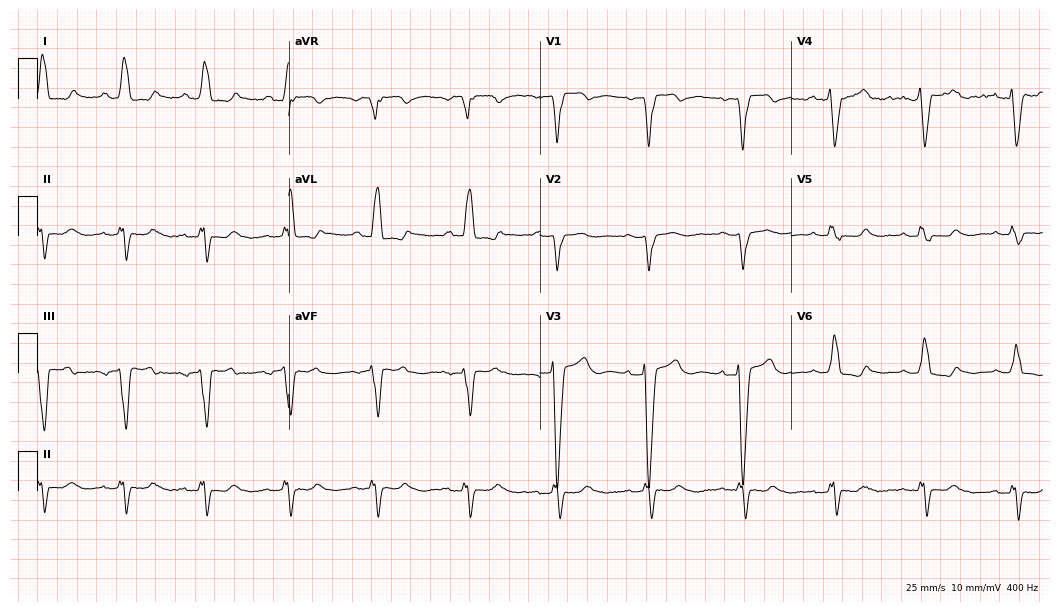
12-lead ECG (10.2-second recording at 400 Hz) from a 60-year-old female. Findings include left bundle branch block.